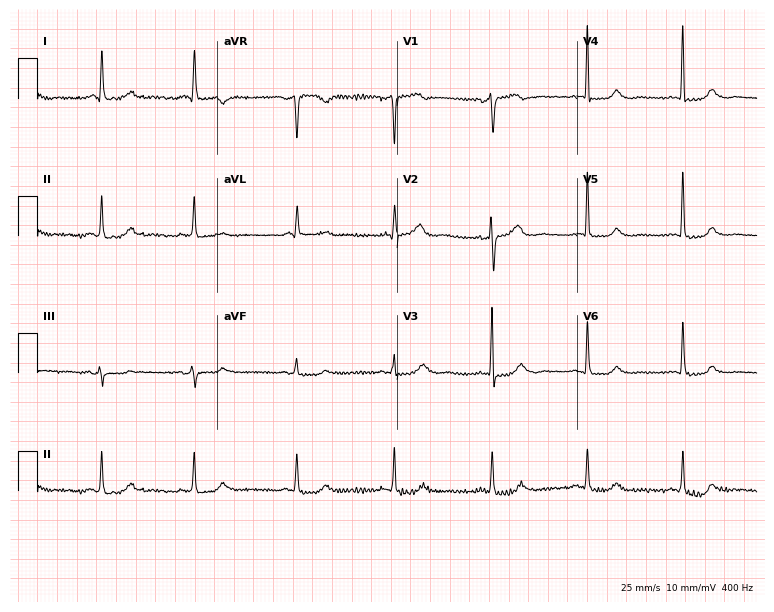
Electrocardiogram, a 66-year-old woman. Of the six screened findings (first-degree AV block, right bundle branch block, left bundle branch block, sinus bradycardia, atrial fibrillation, sinus tachycardia), none is recorded.